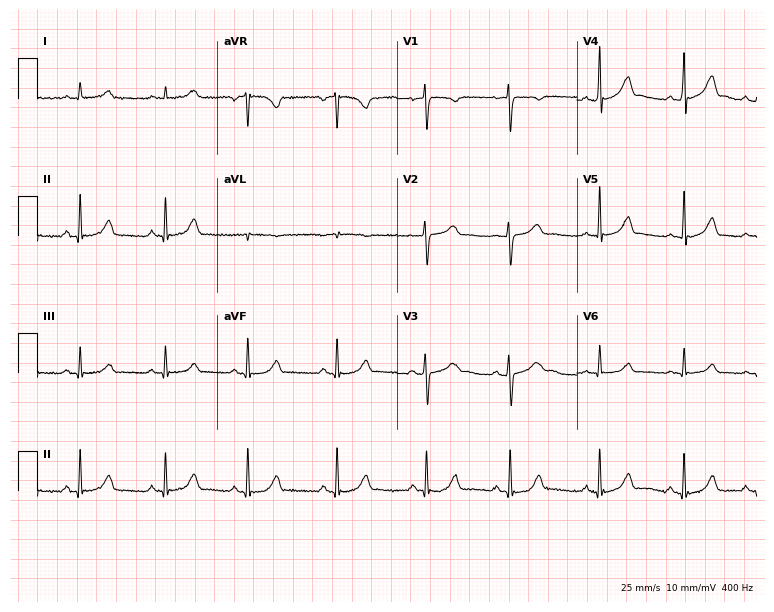
12-lead ECG (7.3-second recording at 400 Hz) from a woman, 22 years old. Screened for six findings — first-degree AV block, right bundle branch block, left bundle branch block, sinus bradycardia, atrial fibrillation, sinus tachycardia — none is recorded.